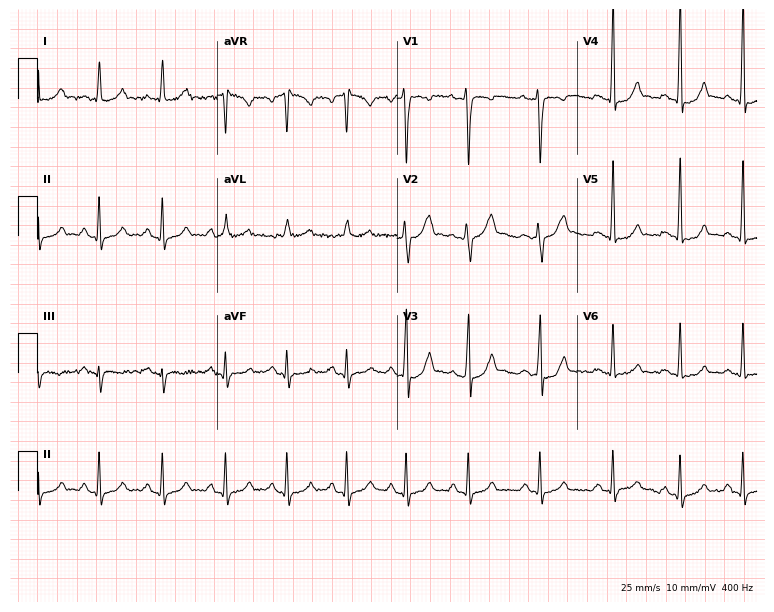
12-lead ECG from a 31-year-old man. Recorded interpretation: within normal limits.